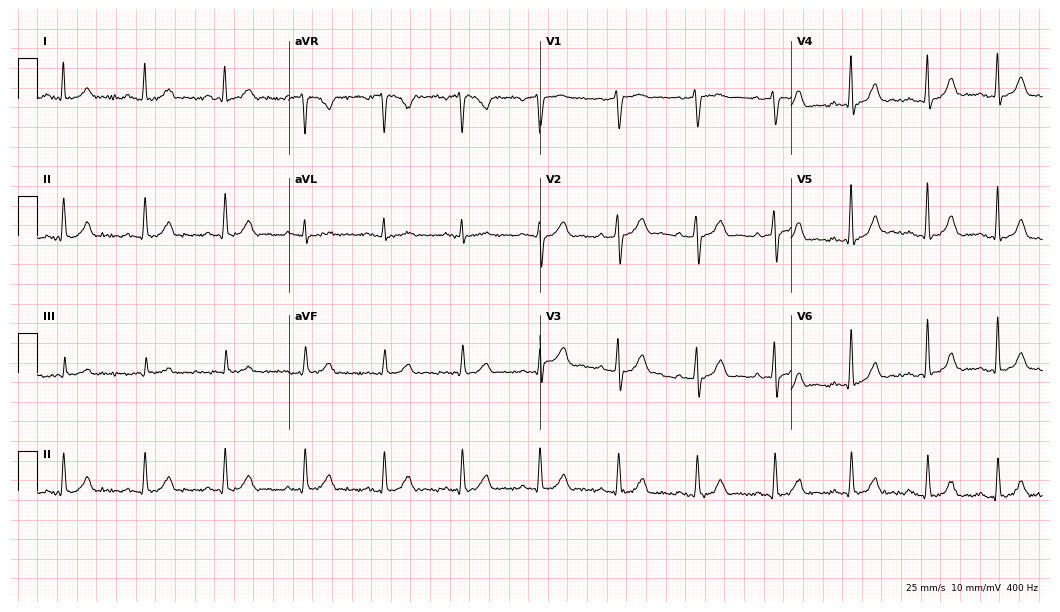
12-lead ECG from a man, 48 years old. Screened for six findings — first-degree AV block, right bundle branch block, left bundle branch block, sinus bradycardia, atrial fibrillation, sinus tachycardia — none is recorded. Only these six findings were labelled.